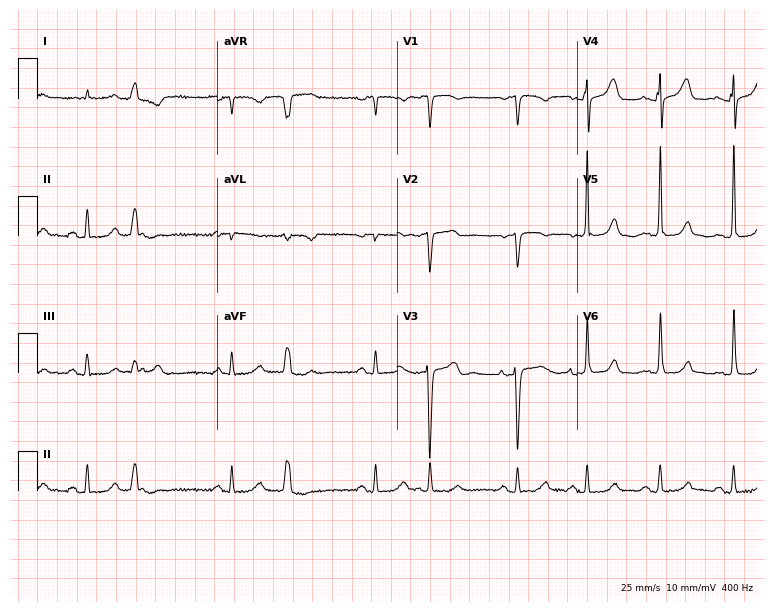
12-lead ECG from an 83-year-old female. No first-degree AV block, right bundle branch block, left bundle branch block, sinus bradycardia, atrial fibrillation or sinus tachycardia recorded for this tracing. Findings outside these six are not listed.